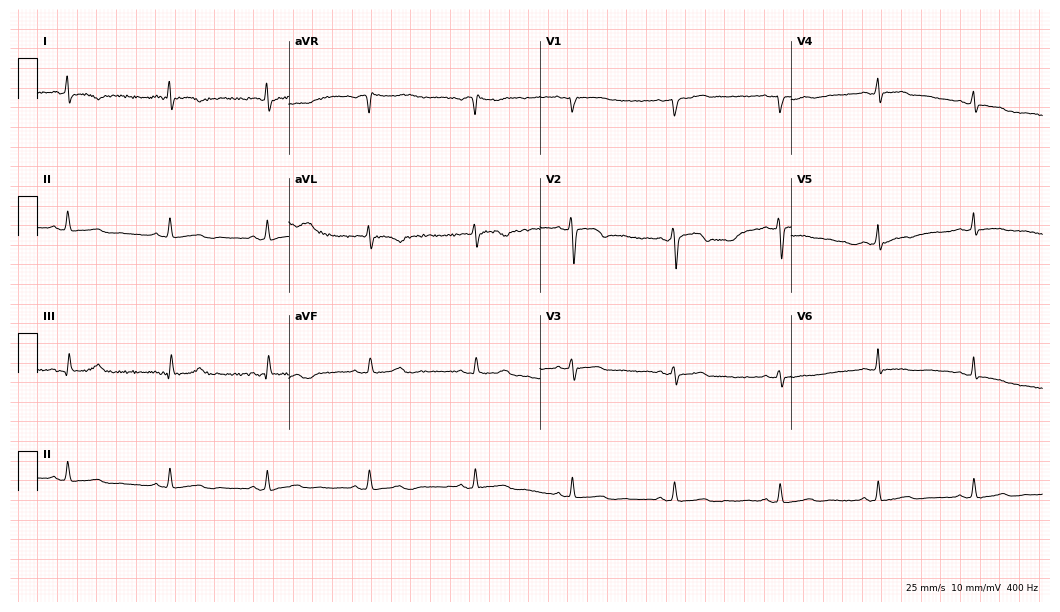
Resting 12-lead electrocardiogram. Patient: a 43-year-old female. None of these six findings is recorded: first-degree AV block, right bundle branch block, left bundle branch block, sinus bradycardia, atrial fibrillation, sinus tachycardia.